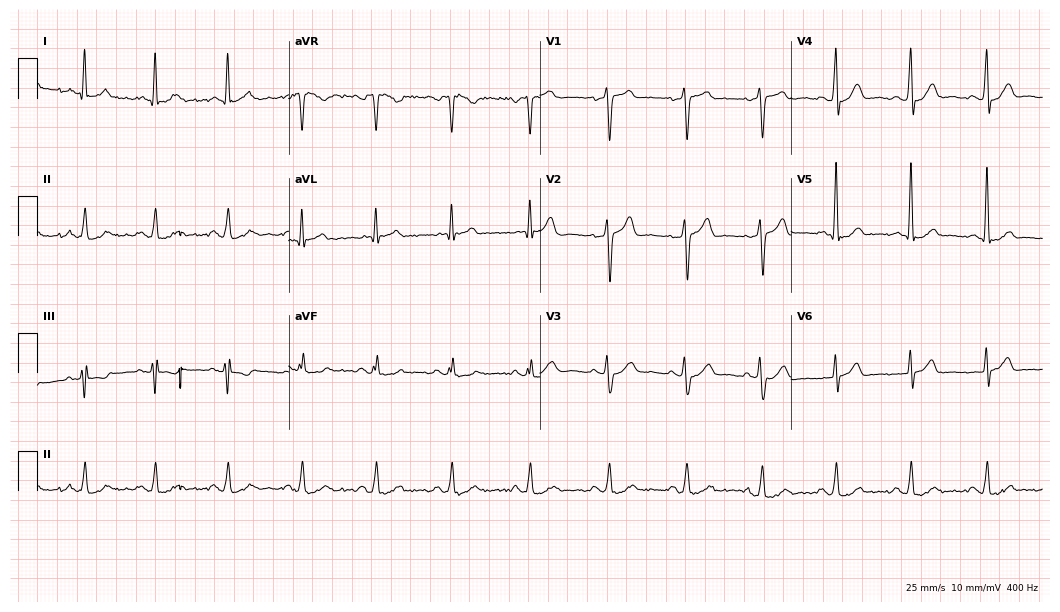
12-lead ECG from a male, 58 years old. Recorded interpretation: within normal limits.